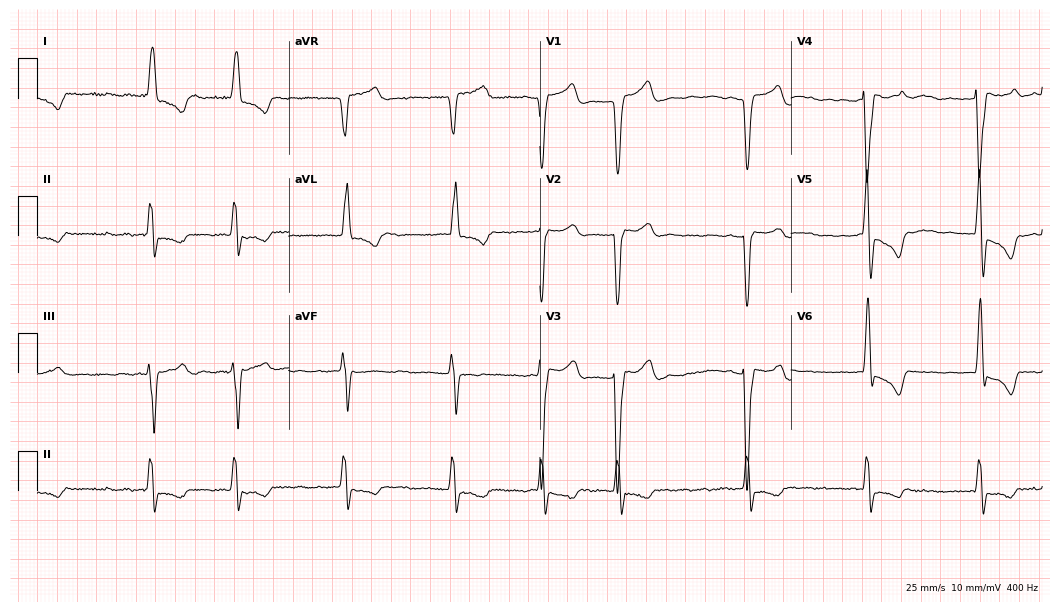
Resting 12-lead electrocardiogram (10.2-second recording at 400 Hz). Patient: a female, 85 years old. The tracing shows left bundle branch block (LBBB), atrial fibrillation (AF).